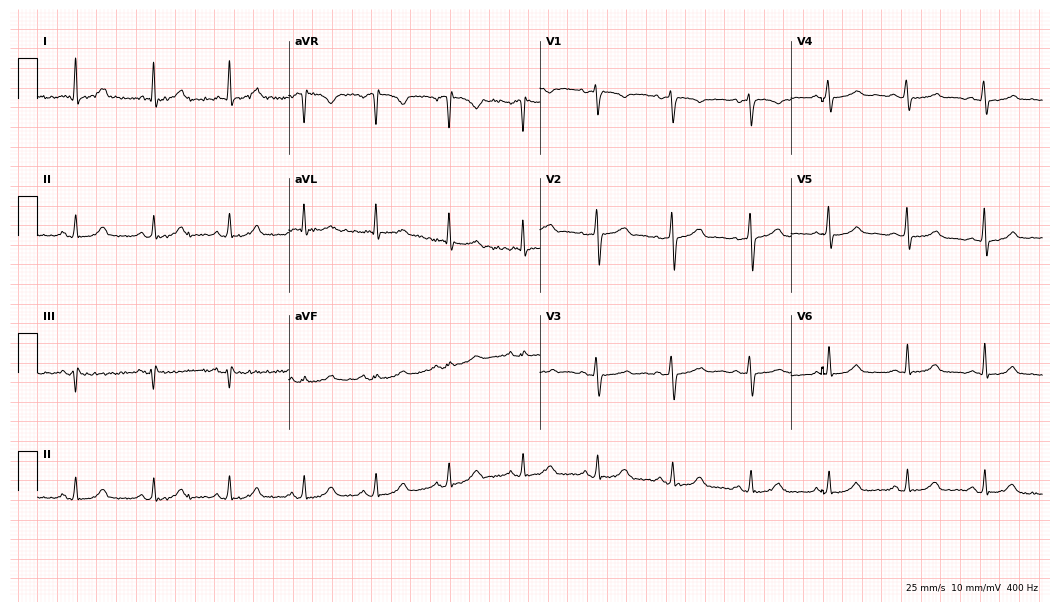
12-lead ECG (10.2-second recording at 400 Hz) from a female, 42 years old. Labelled as a normal ECG.